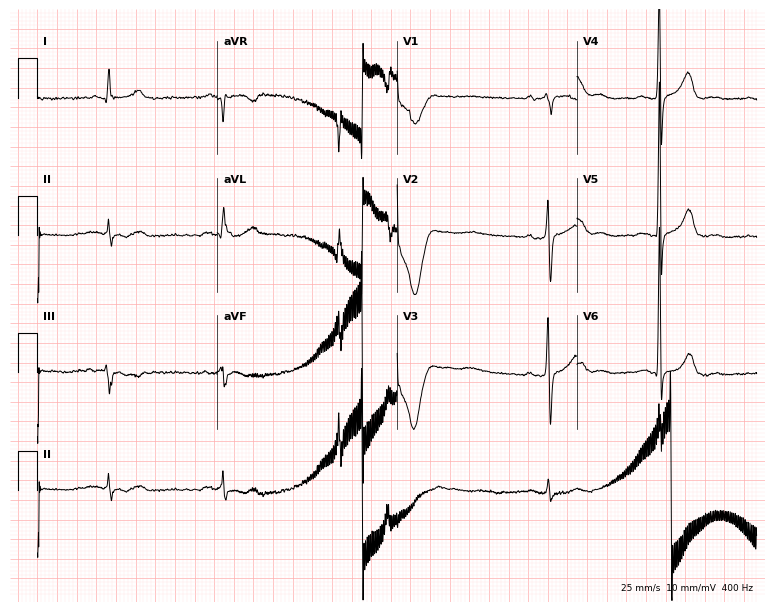
ECG (7.3-second recording at 400 Hz) — a male, 81 years old. Screened for six findings — first-degree AV block, right bundle branch block (RBBB), left bundle branch block (LBBB), sinus bradycardia, atrial fibrillation (AF), sinus tachycardia — none is recorded. Only these six findings were labelled.